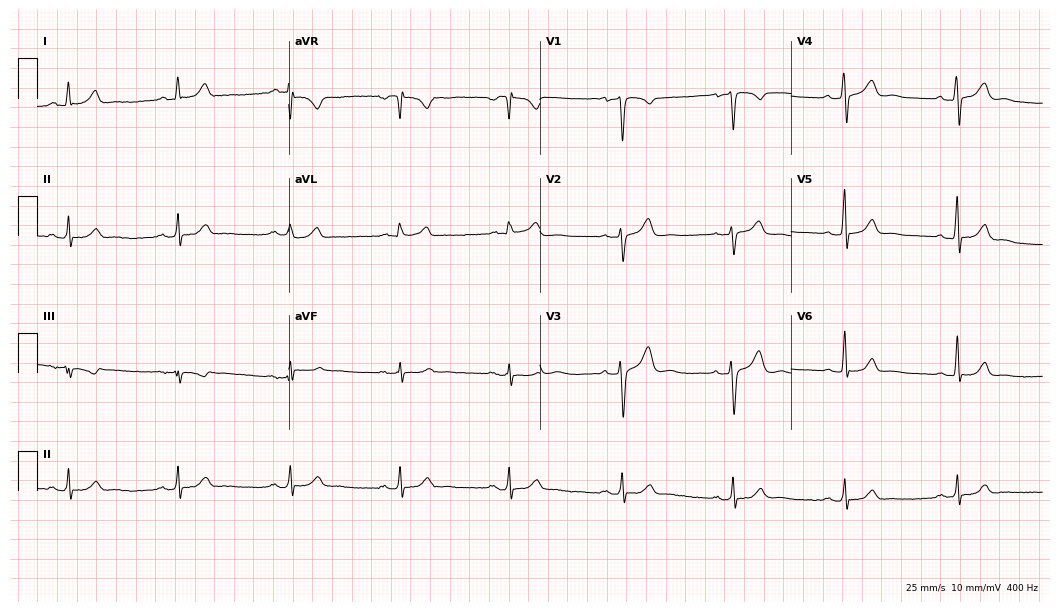
12-lead ECG (10.2-second recording at 400 Hz) from a 54-year-old male. Labelled as a normal ECG.